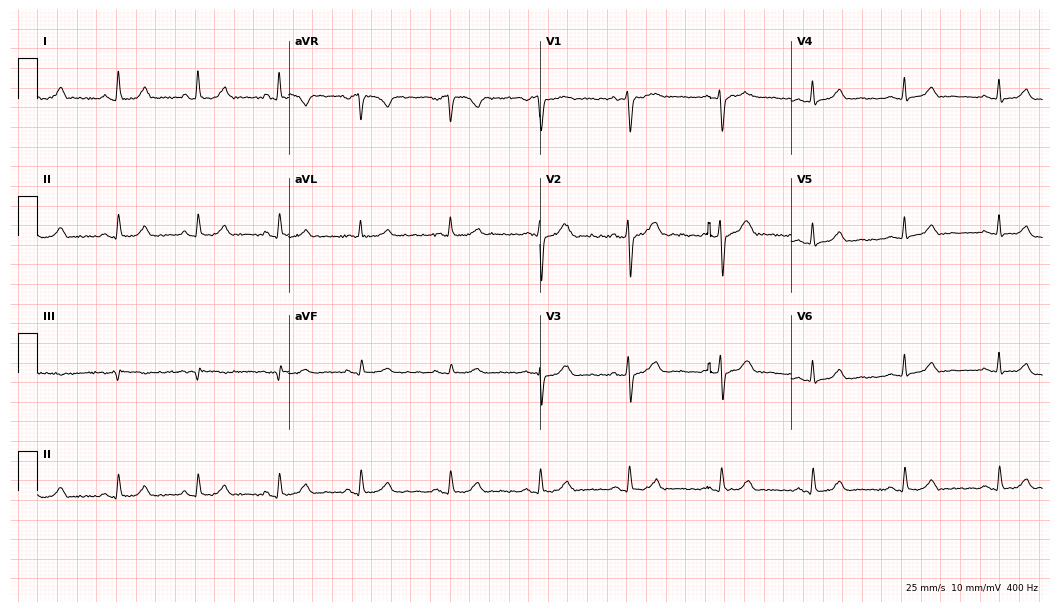
12-lead ECG from a 56-year-old female. Labelled as a normal ECG.